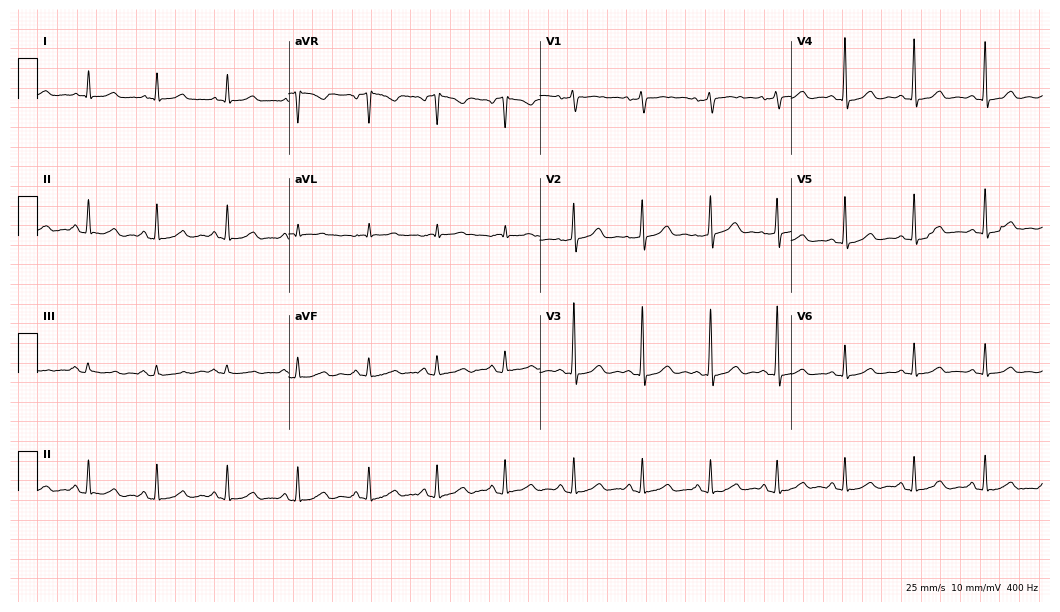
12-lead ECG from a 63-year-old woman. No first-degree AV block, right bundle branch block, left bundle branch block, sinus bradycardia, atrial fibrillation or sinus tachycardia recorded for this tracing.